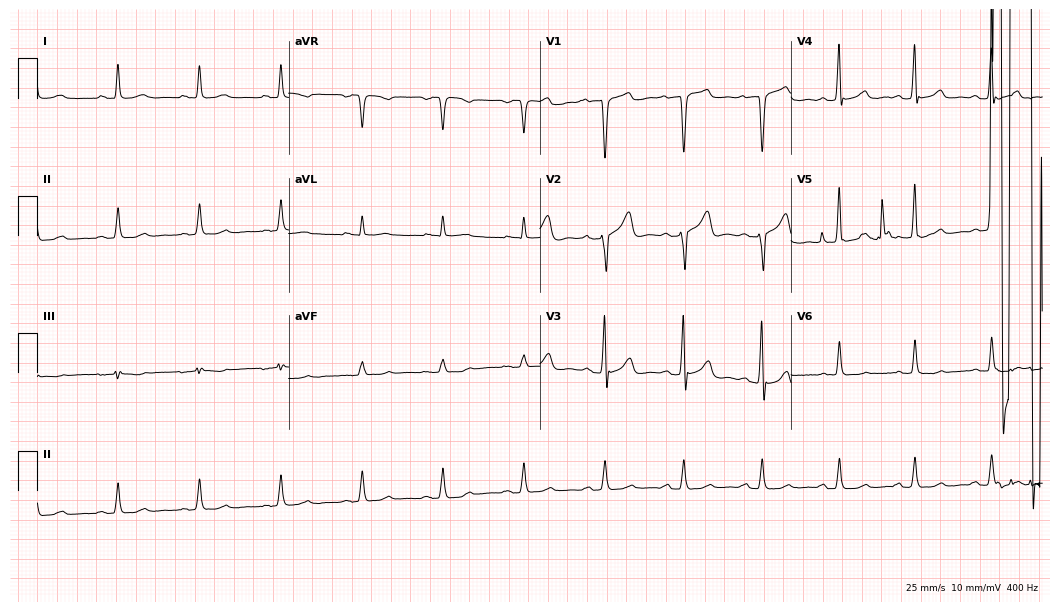
Resting 12-lead electrocardiogram (10.2-second recording at 400 Hz). Patient: a male, 54 years old. Read as a normal ECG.